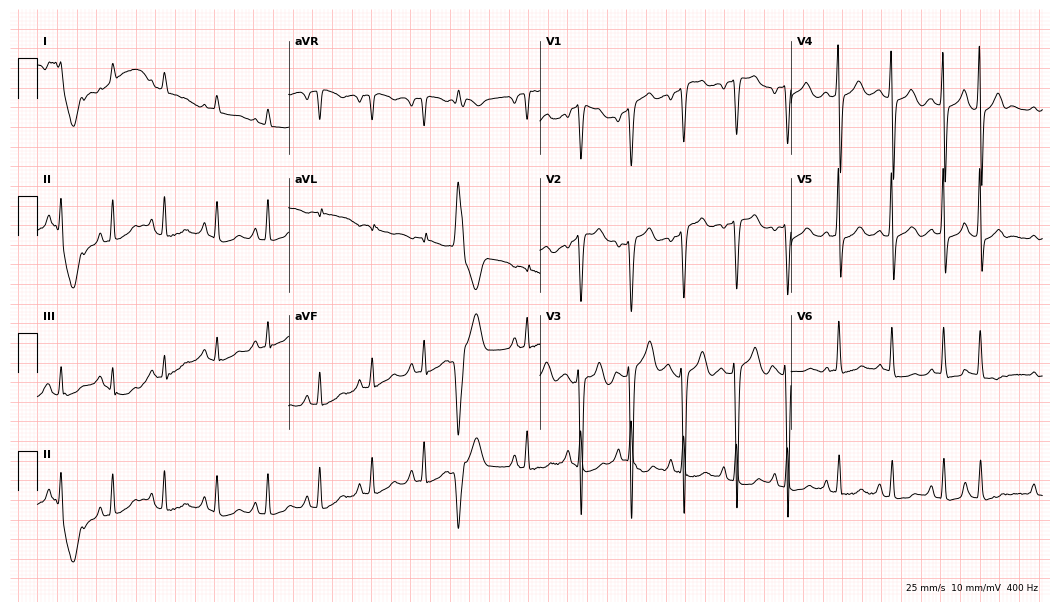
Resting 12-lead electrocardiogram. Patient: an 80-year-old woman. The tracing shows sinus tachycardia (a sinus rate of 100 beats per minute or more).